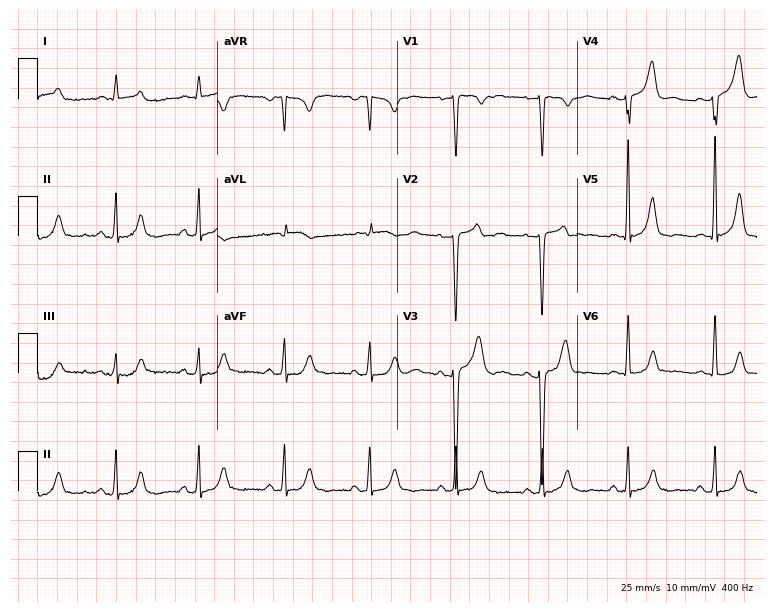
ECG (7.3-second recording at 400 Hz) — a 53-year-old male patient. Screened for six findings — first-degree AV block, right bundle branch block, left bundle branch block, sinus bradycardia, atrial fibrillation, sinus tachycardia — none is recorded.